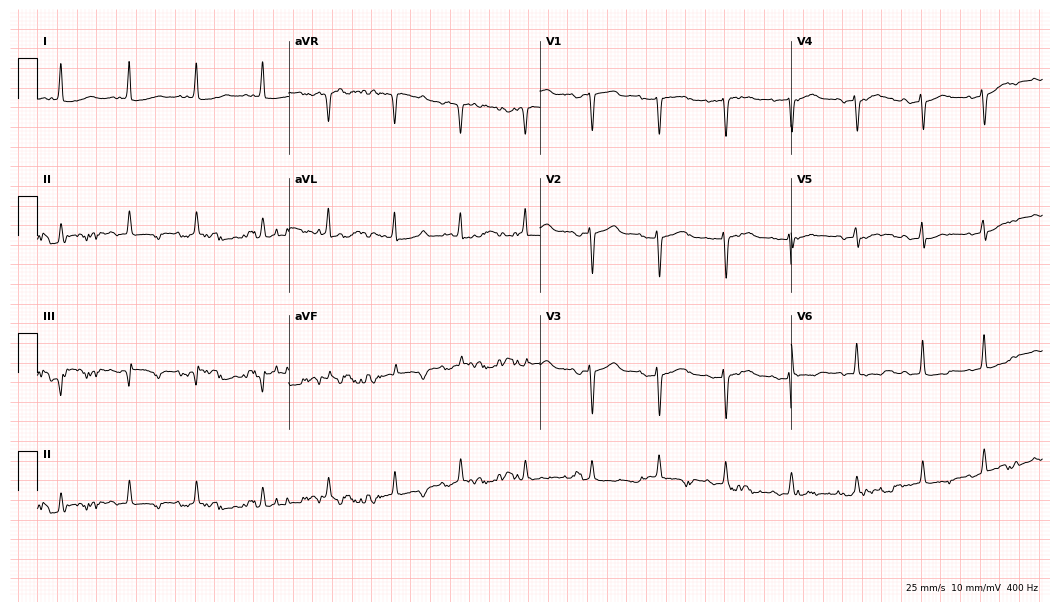
12-lead ECG from a woman, 80 years old. No first-degree AV block, right bundle branch block (RBBB), left bundle branch block (LBBB), sinus bradycardia, atrial fibrillation (AF) or sinus tachycardia recorded for this tracing. Other findings, if any, are not listed.